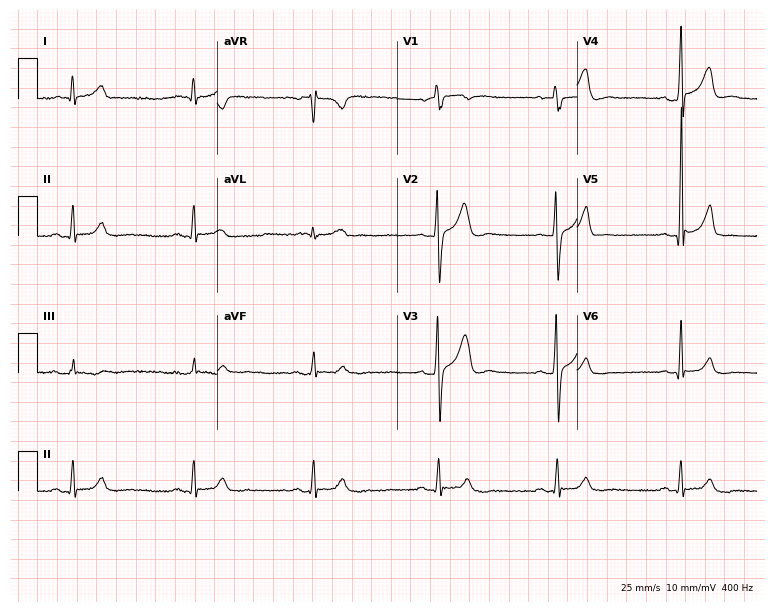
12-lead ECG from a male patient, 35 years old. Findings include sinus bradycardia (a sinus rate of 50 beats per minute or less).